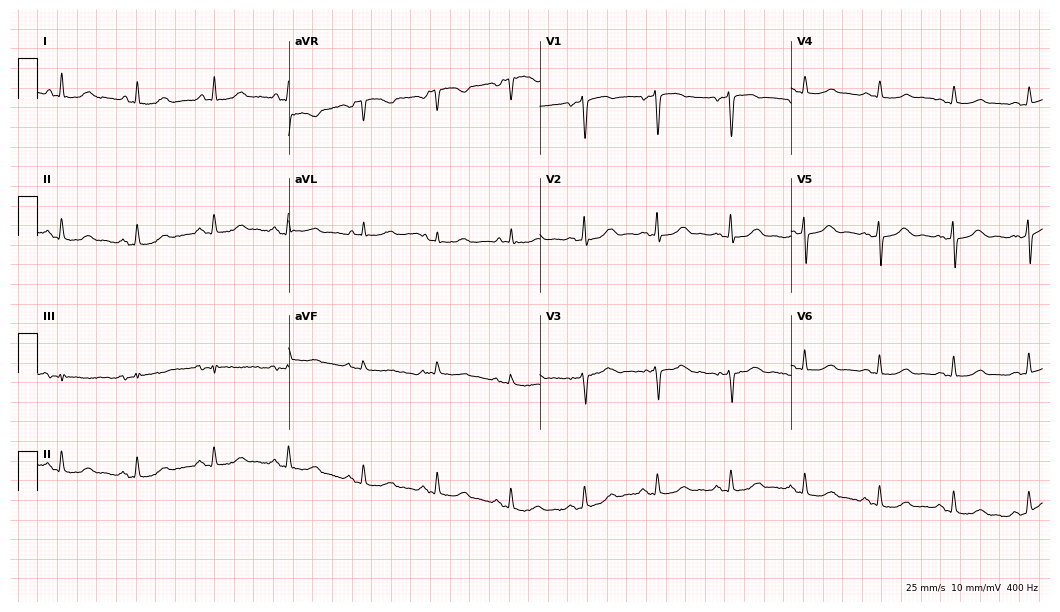
12-lead ECG (10.2-second recording at 400 Hz) from a woman, 50 years old. Labelled as a normal ECG.